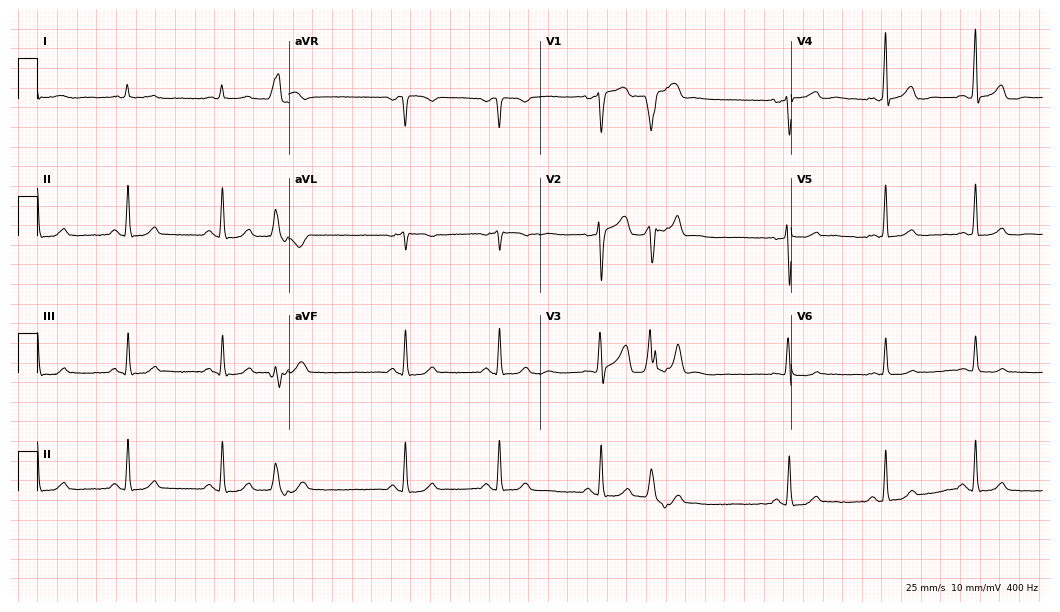
ECG — a male, 59 years old. Screened for six findings — first-degree AV block, right bundle branch block (RBBB), left bundle branch block (LBBB), sinus bradycardia, atrial fibrillation (AF), sinus tachycardia — none is recorded. Other findings, if any, are not listed.